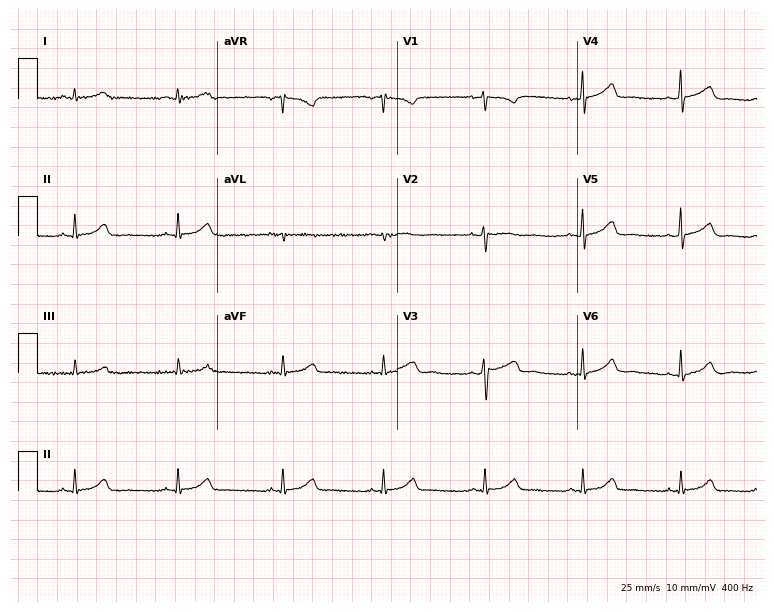
Standard 12-lead ECG recorded from a female patient, 36 years old. None of these six findings is recorded: first-degree AV block, right bundle branch block, left bundle branch block, sinus bradycardia, atrial fibrillation, sinus tachycardia. Other findings, if any, are not listed.